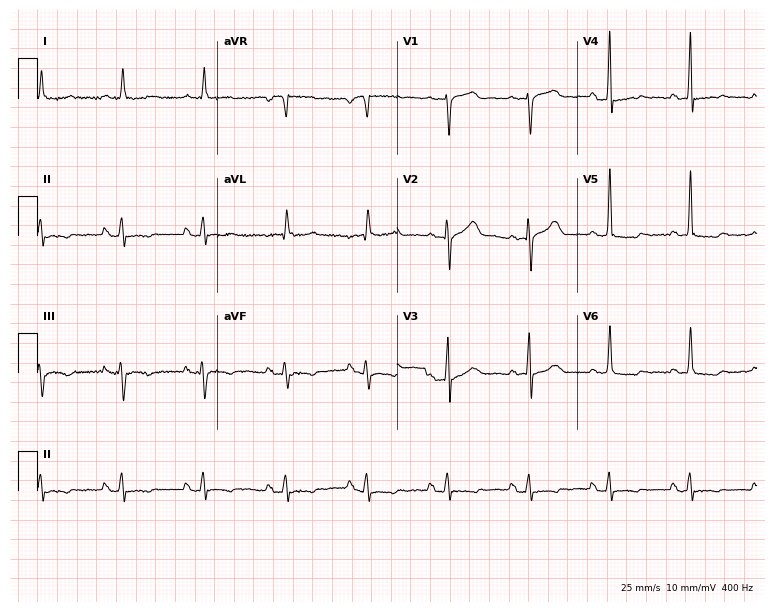
Electrocardiogram, a 71-year-old male patient. Of the six screened findings (first-degree AV block, right bundle branch block, left bundle branch block, sinus bradycardia, atrial fibrillation, sinus tachycardia), none is recorded.